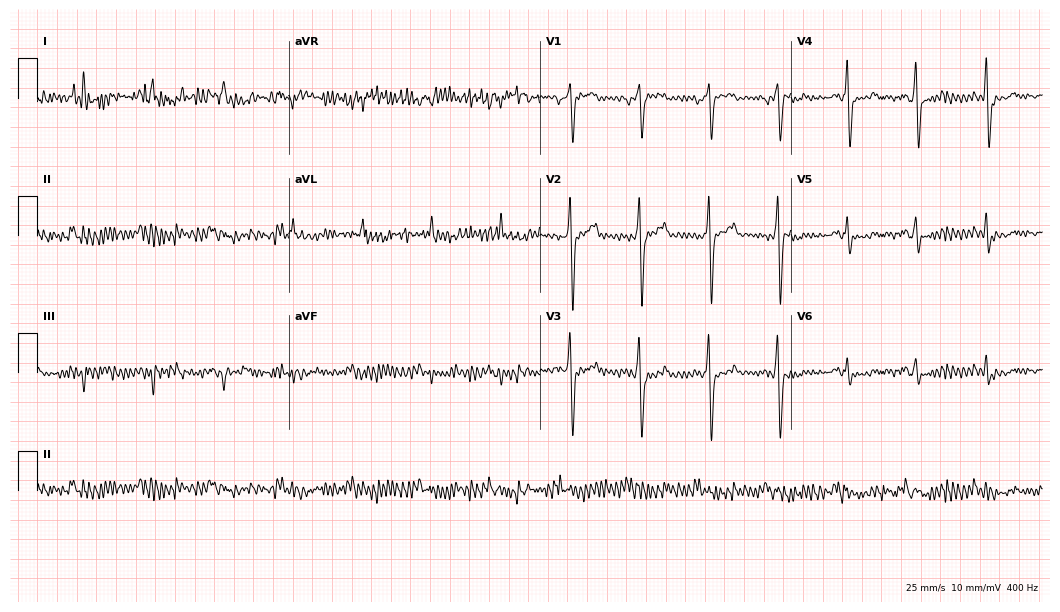
Electrocardiogram, a man, 58 years old. Of the six screened findings (first-degree AV block, right bundle branch block (RBBB), left bundle branch block (LBBB), sinus bradycardia, atrial fibrillation (AF), sinus tachycardia), none is recorded.